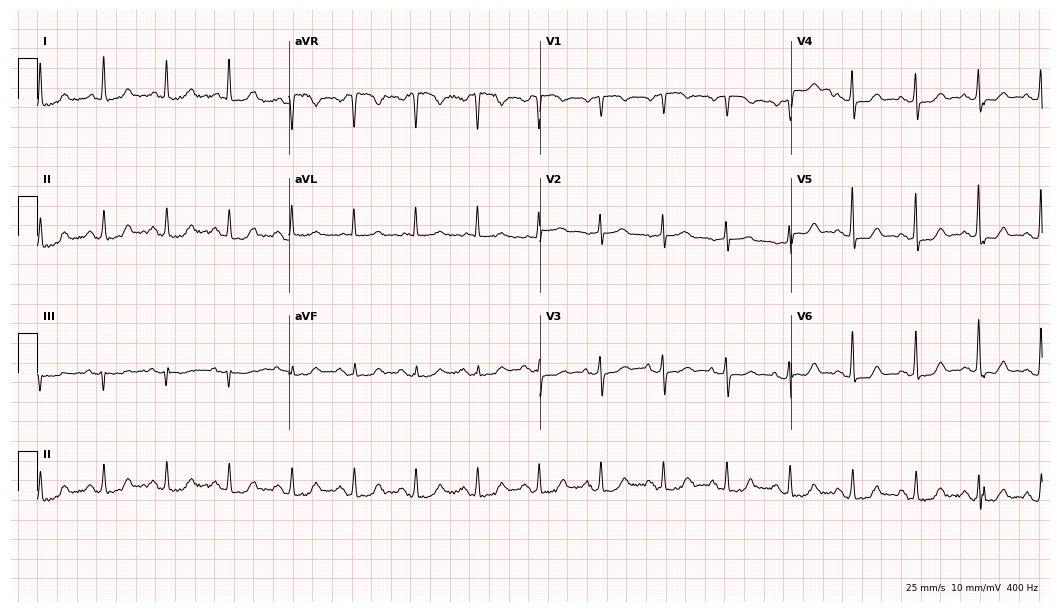
12-lead ECG from a 79-year-old female patient. Recorded interpretation: within normal limits.